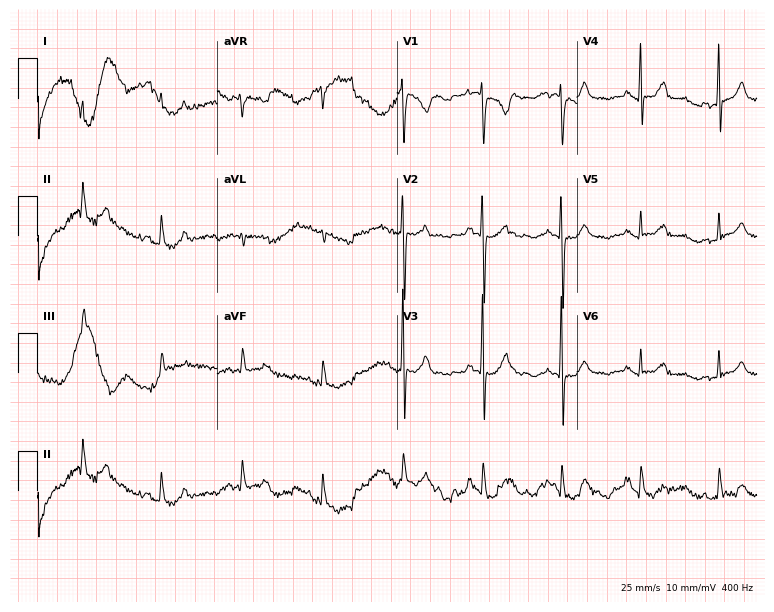
12-lead ECG (7.3-second recording at 400 Hz) from a female patient, 76 years old. Screened for six findings — first-degree AV block, right bundle branch block, left bundle branch block, sinus bradycardia, atrial fibrillation, sinus tachycardia — none is recorded.